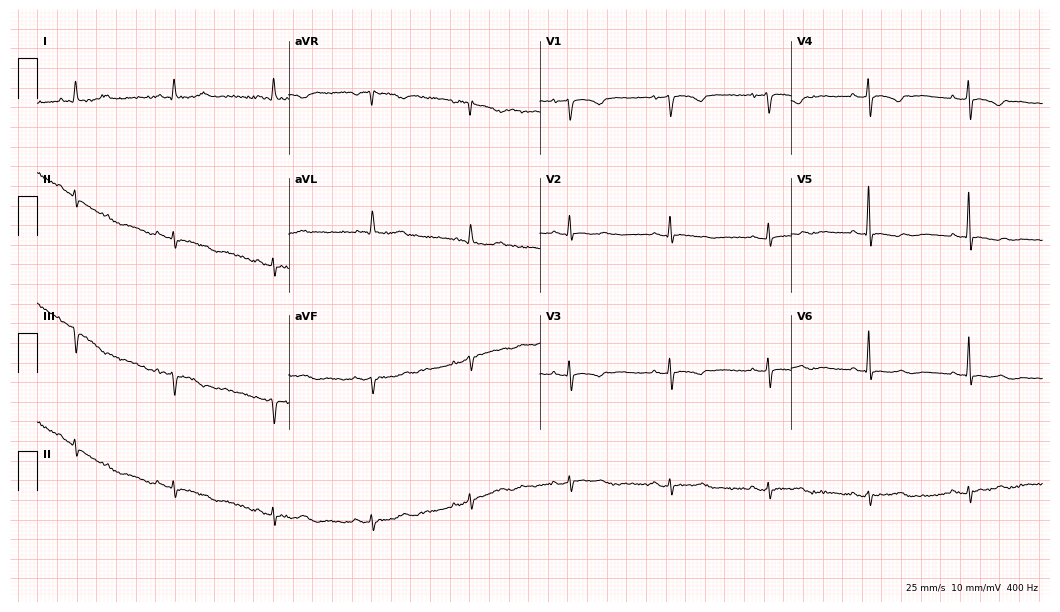
12-lead ECG (10.2-second recording at 400 Hz) from a female patient, 81 years old. Screened for six findings — first-degree AV block, right bundle branch block (RBBB), left bundle branch block (LBBB), sinus bradycardia, atrial fibrillation (AF), sinus tachycardia — none is recorded.